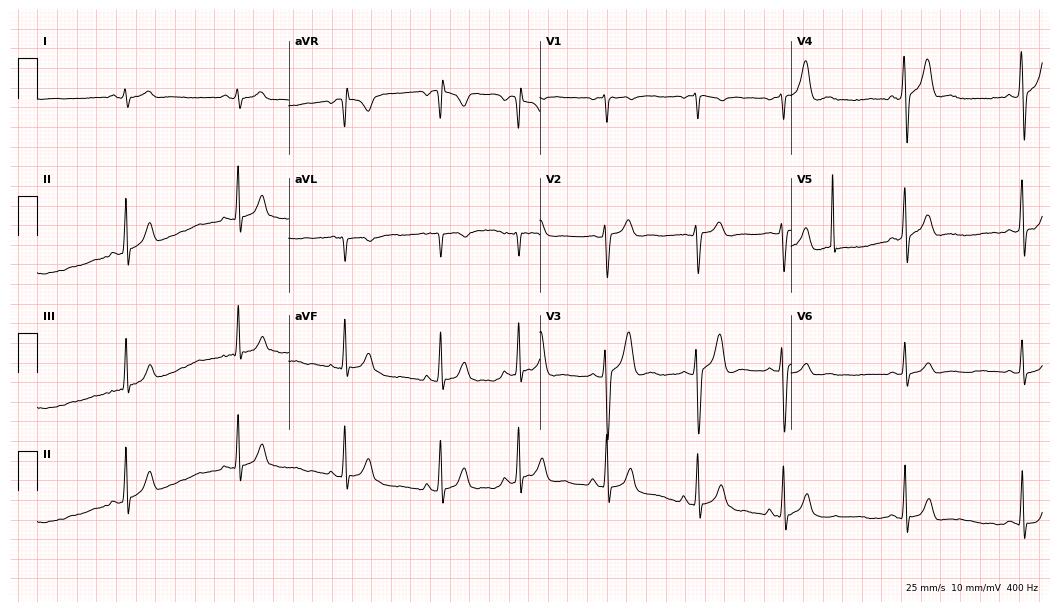
Resting 12-lead electrocardiogram. Patient: a 19-year-old man. Read as a normal ECG.